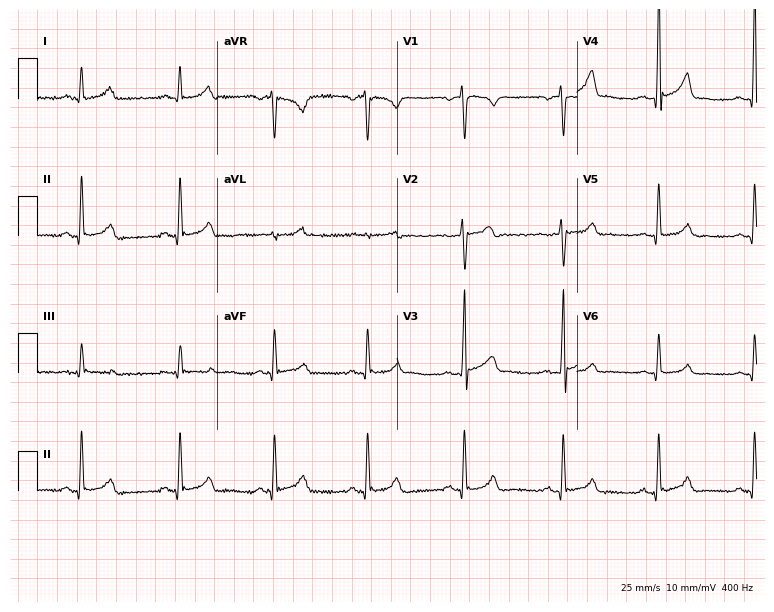
12-lead ECG from a 40-year-old man. Recorded interpretation: within normal limits.